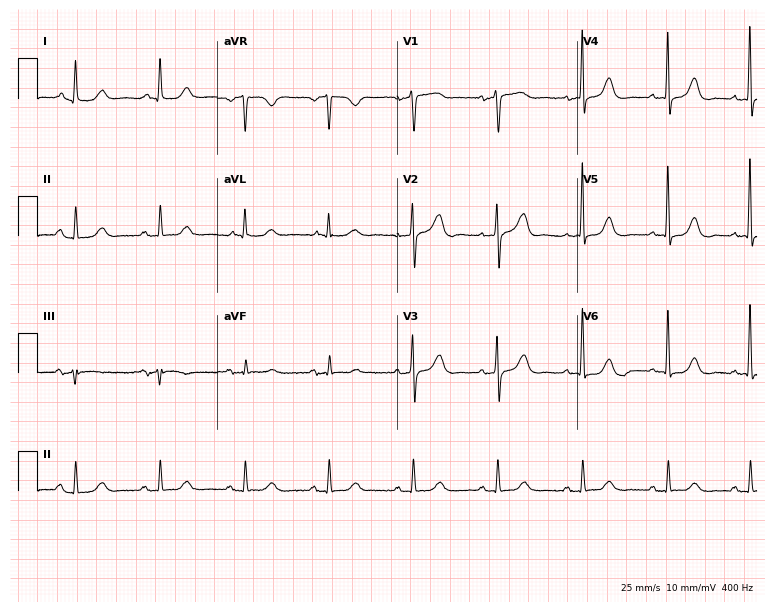
Standard 12-lead ECG recorded from a 64-year-old woman (7.3-second recording at 400 Hz). None of these six findings is recorded: first-degree AV block, right bundle branch block (RBBB), left bundle branch block (LBBB), sinus bradycardia, atrial fibrillation (AF), sinus tachycardia.